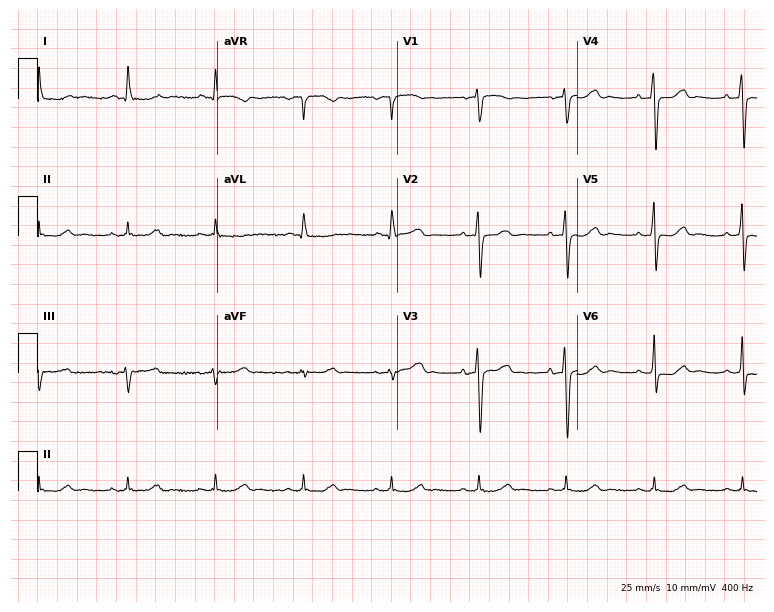
Electrocardiogram (7.3-second recording at 400 Hz), a female patient, 78 years old. Of the six screened findings (first-degree AV block, right bundle branch block, left bundle branch block, sinus bradycardia, atrial fibrillation, sinus tachycardia), none is recorded. Other findings, if any, are not listed.